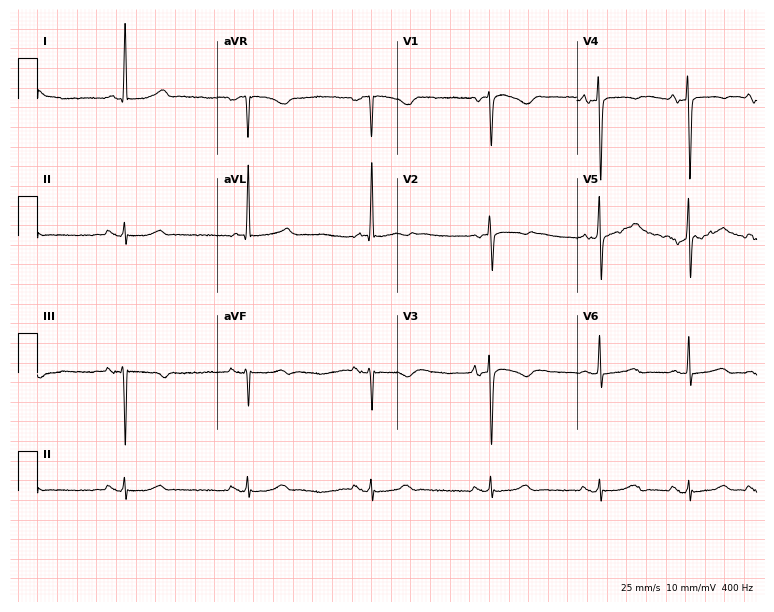
Standard 12-lead ECG recorded from an 83-year-old female. None of these six findings is recorded: first-degree AV block, right bundle branch block (RBBB), left bundle branch block (LBBB), sinus bradycardia, atrial fibrillation (AF), sinus tachycardia. Findings outside these six are not listed.